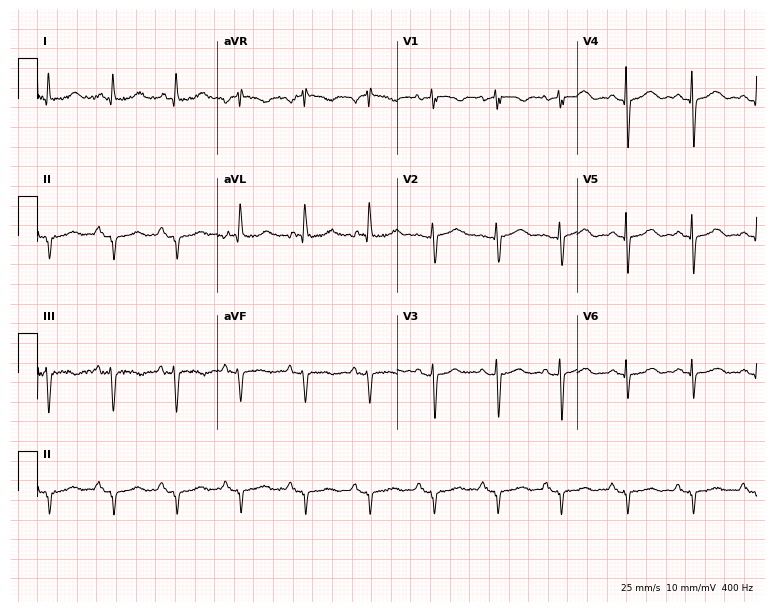
12-lead ECG from an 81-year-old female. No first-degree AV block, right bundle branch block (RBBB), left bundle branch block (LBBB), sinus bradycardia, atrial fibrillation (AF) or sinus tachycardia recorded for this tracing. Only these six findings were labelled.